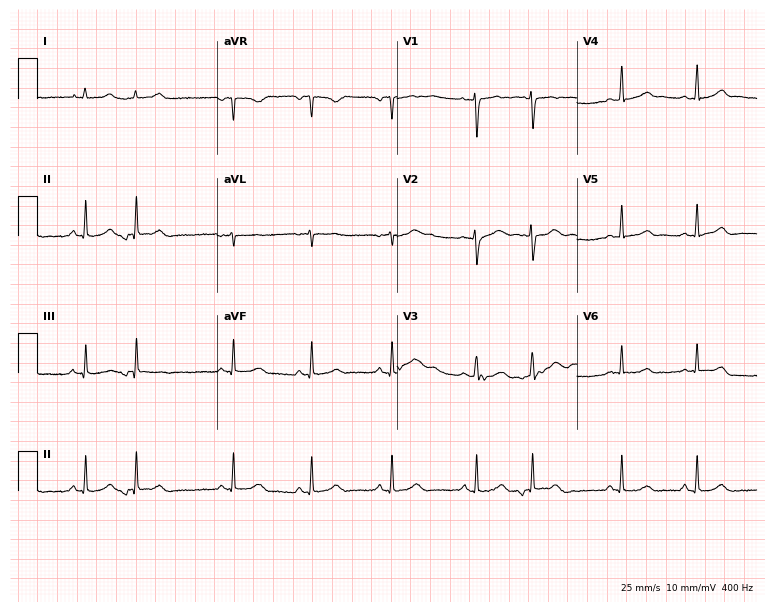
12-lead ECG from a woman, 21 years old. Screened for six findings — first-degree AV block, right bundle branch block, left bundle branch block, sinus bradycardia, atrial fibrillation, sinus tachycardia — none is recorded. Other findings, if any, are not listed.